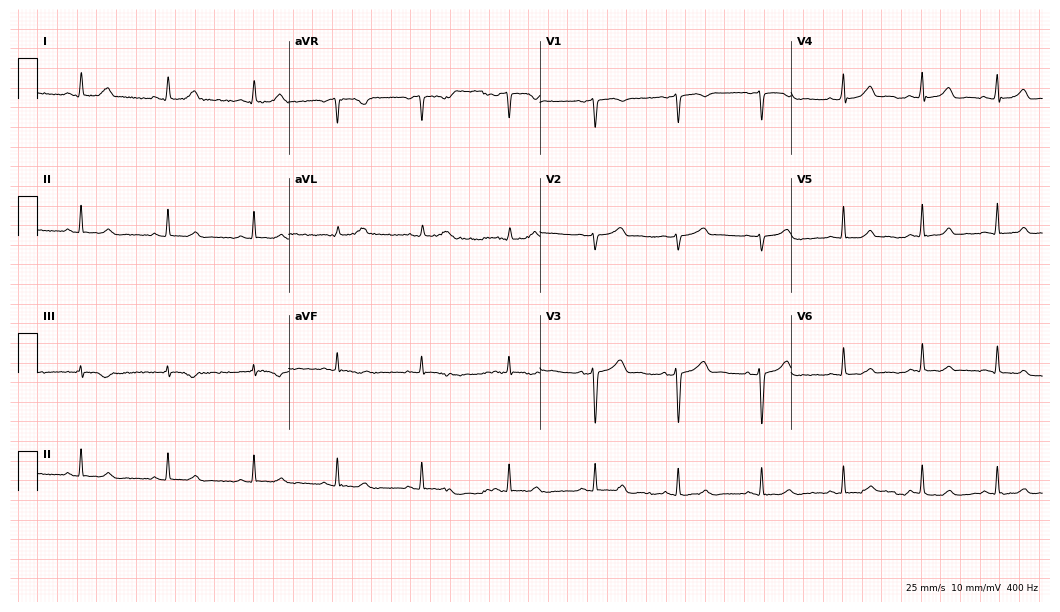
ECG — a female, 41 years old. Screened for six findings — first-degree AV block, right bundle branch block (RBBB), left bundle branch block (LBBB), sinus bradycardia, atrial fibrillation (AF), sinus tachycardia — none is recorded.